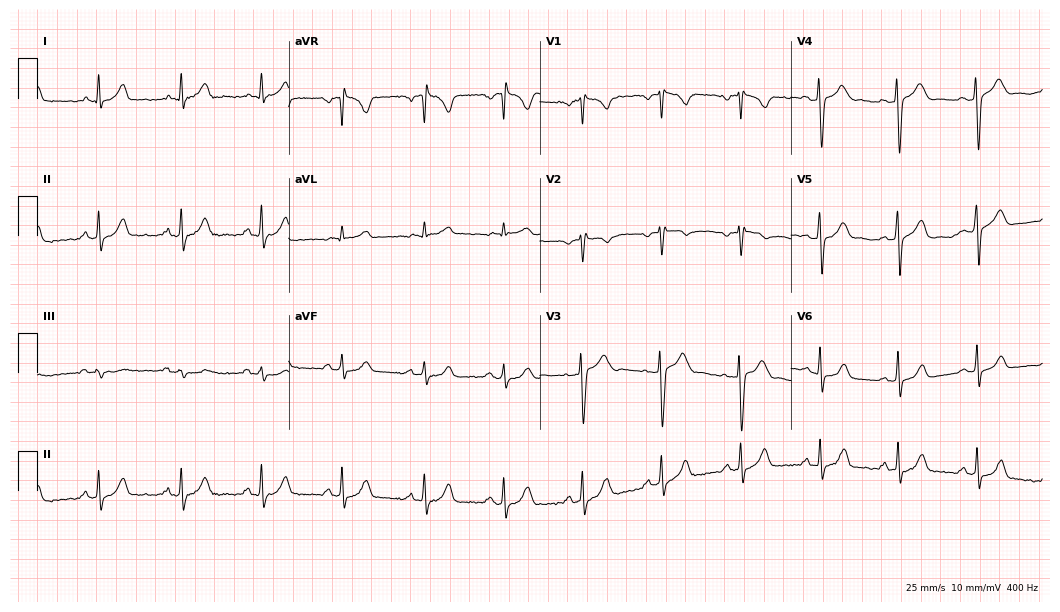
12-lead ECG (10.2-second recording at 400 Hz) from a woman, 24 years old. Labelled as a normal ECG.